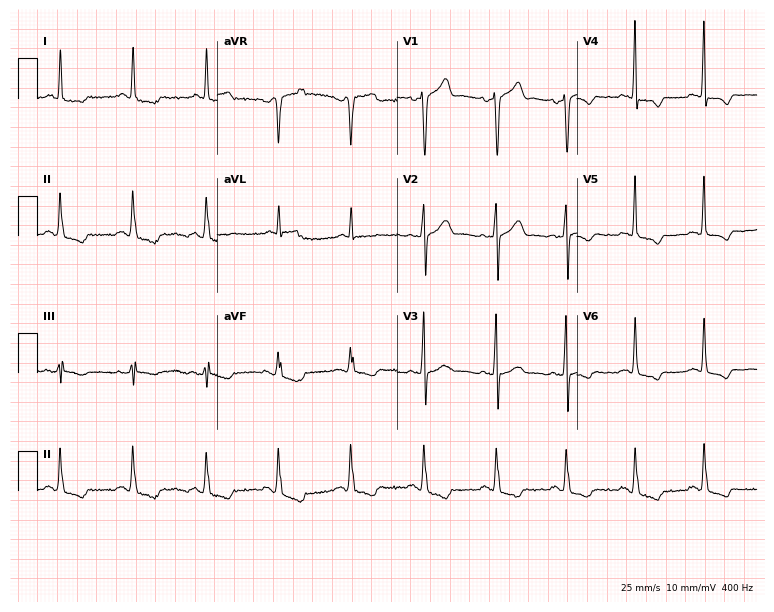
12-lead ECG from a 53-year-old man. No first-degree AV block, right bundle branch block, left bundle branch block, sinus bradycardia, atrial fibrillation or sinus tachycardia recorded for this tracing.